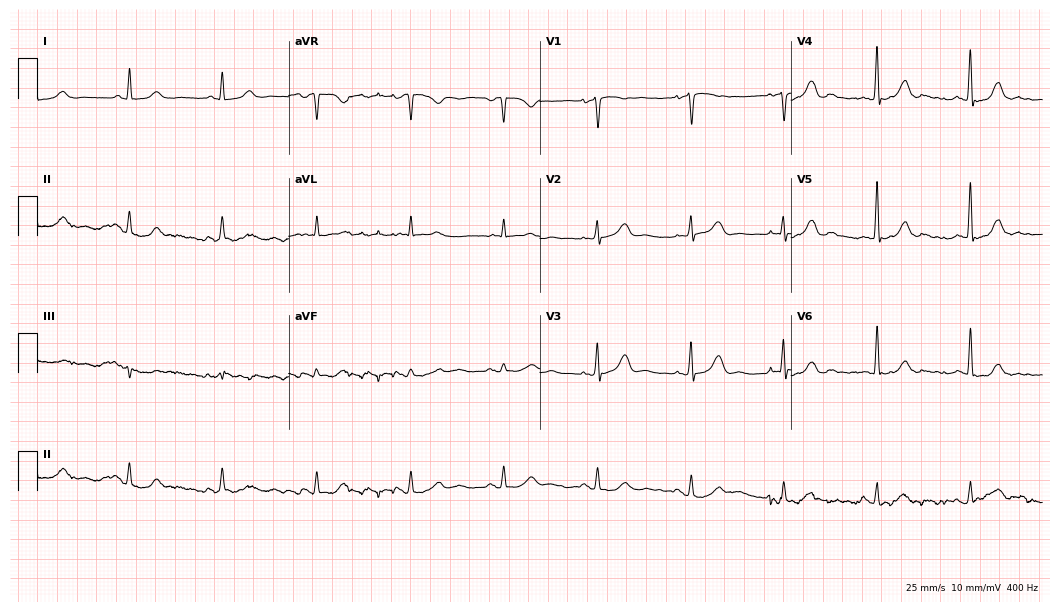
12-lead ECG from a female patient, 61 years old. Labelled as a normal ECG.